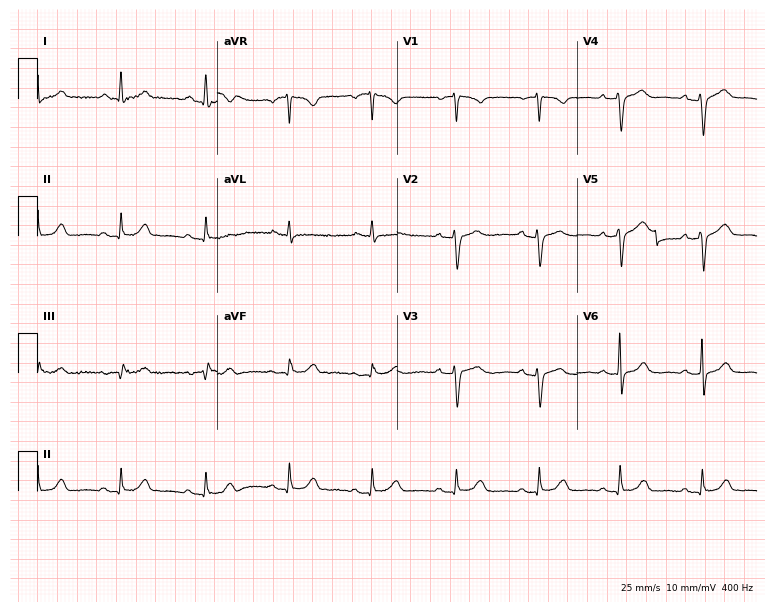
Electrocardiogram, a woman, 55 years old. Overall reading on record: normal ECG.